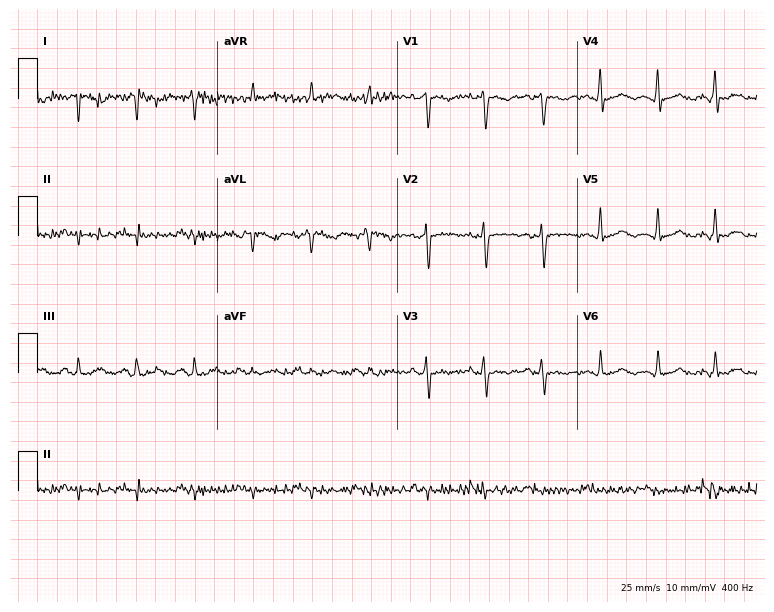
Standard 12-lead ECG recorded from a 42-year-old female (7.3-second recording at 400 Hz). None of these six findings is recorded: first-degree AV block, right bundle branch block (RBBB), left bundle branch block (LBBB), sinus bradycardia, atrial fibrillation (AF), sinus tachycardia. Only these six findings were labelled.